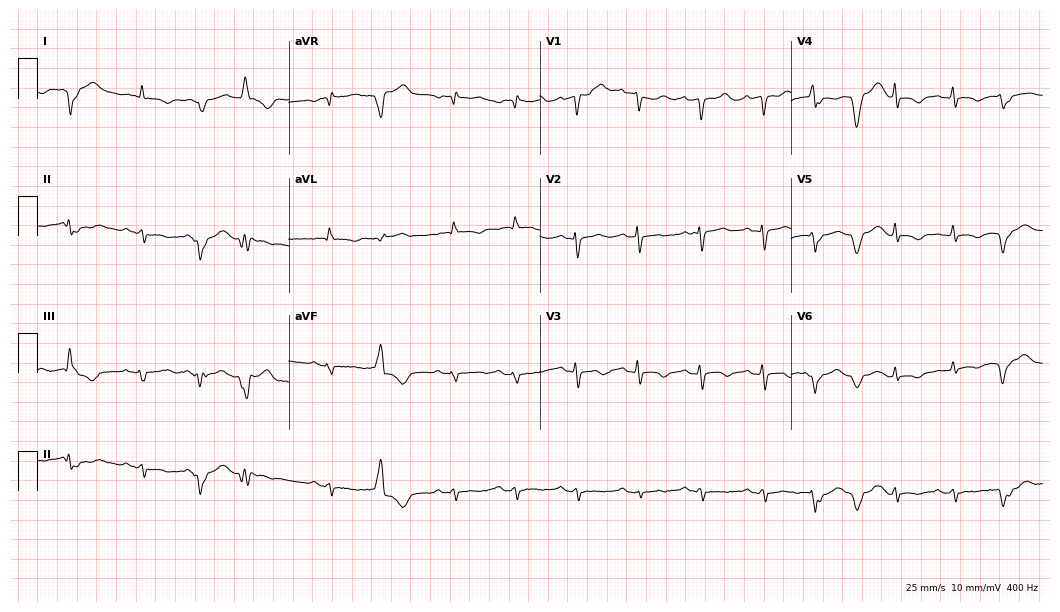
Resting 12-lead electrocardiogram (10.2-second recording at 400 Hz). Patient: a woman, 82 years old. None of these six findings is recorded: first-degree AV block, right bundle branch block (RBBB), left bundle branch block (LBBB), sinus bradycardia, atrial fibrillation (AF), sinus tachycardia.